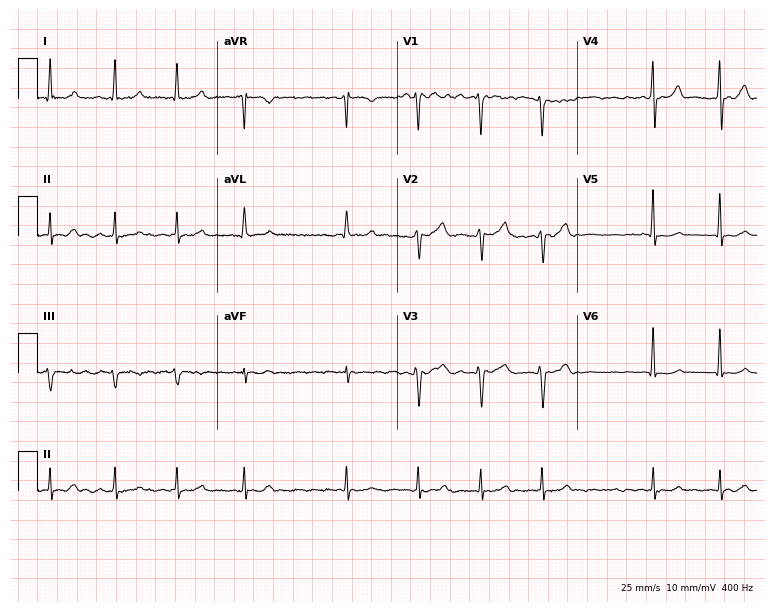
12-lead ECG from a male patient, 68 years old (7.3-second recording at 400 Hz). Shows atrial fibrillation (AF).